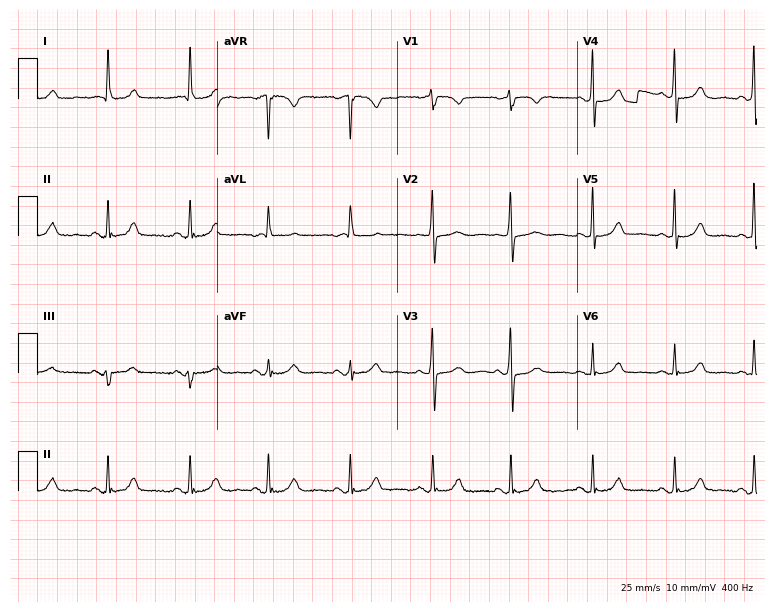
Resting 12-lead electrocardiogram. Patient: an 82-year-old woman. Read as a normal ECG.